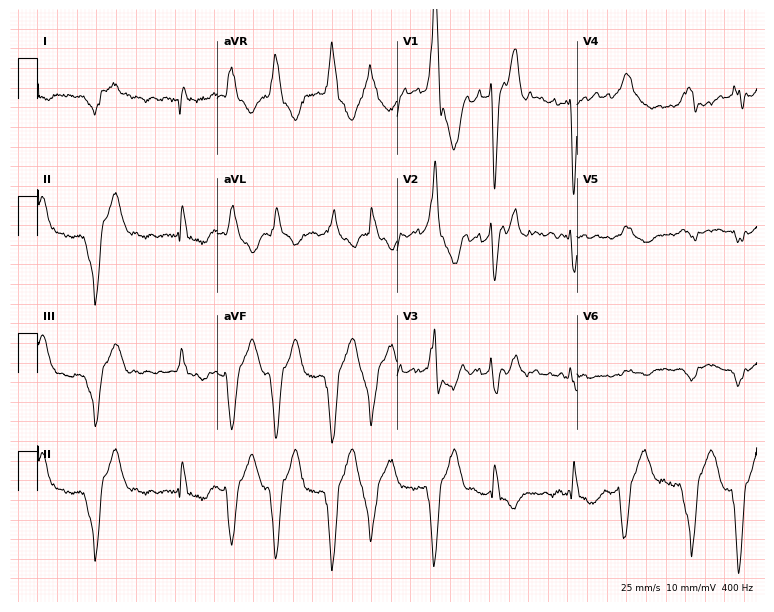
12-lead ECG from a male patient, 41 years old. Screened for six findings — first-degree AV block, right bundle branch block, left bundle branch block, sinus bradycardia, atrial fibrillation, sinus tachycardia — none is recorded. Other findings, if any, are not listed.